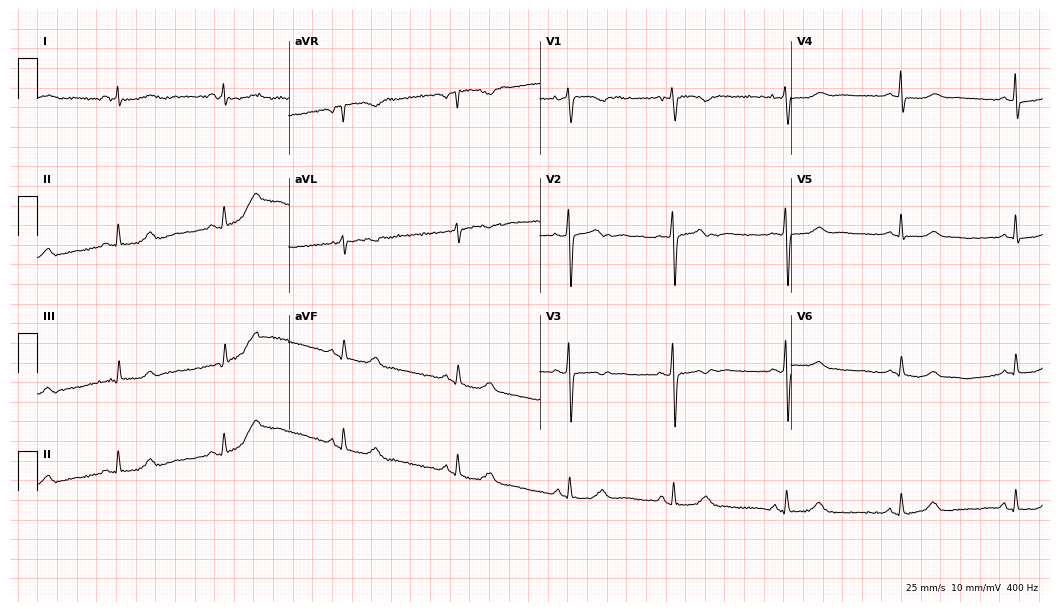
ECG (10.2-second recording at 400 Hz) — a female, 43 years old. Labelled as a normal ECG.